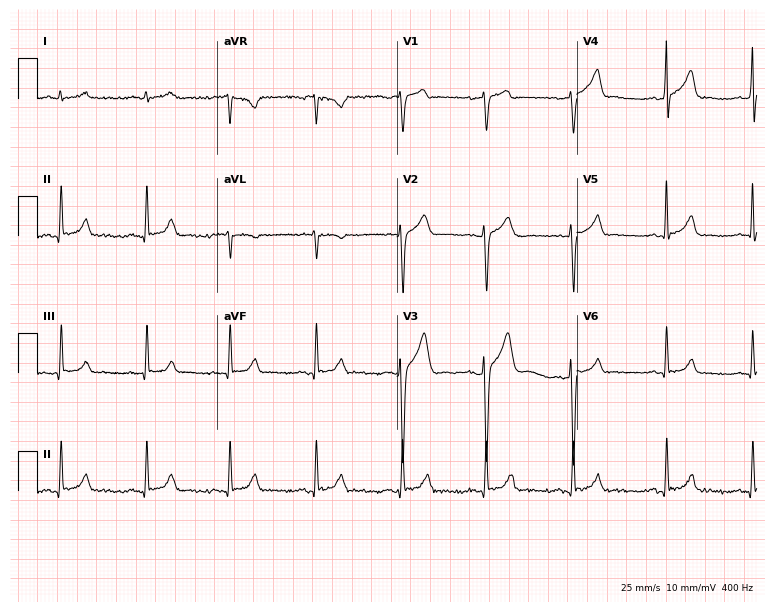
12-lead ECG from a 36-year-old male patient. Labelled as a normal ECG.